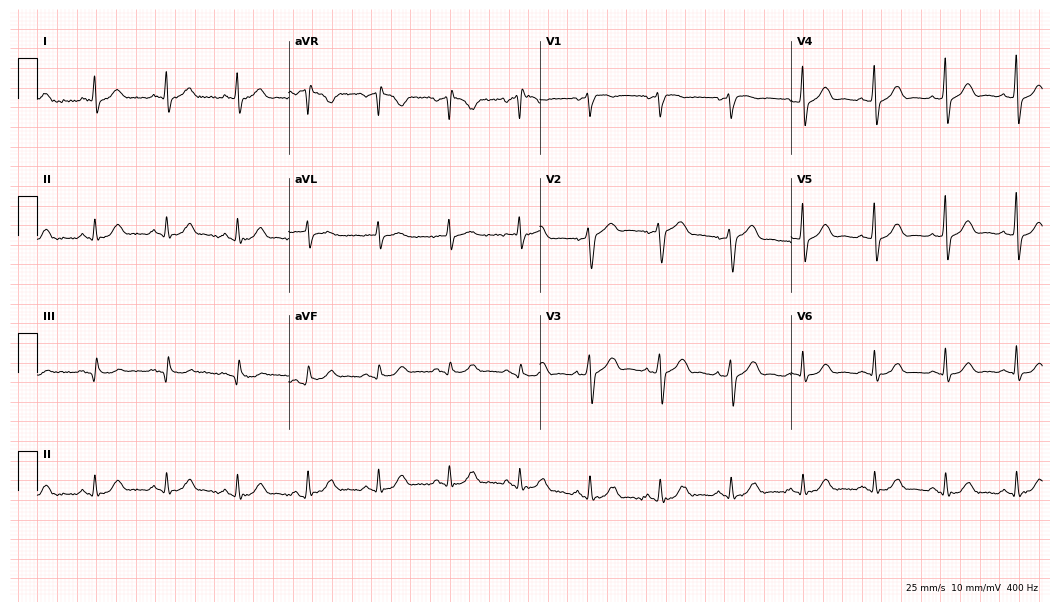
12-lead ECG from a man, 60 years old. No first-degree AV block, right bundle branch block, left bundle branch block, sinus bradycardia, atrial fibrillation or sinus tachycardia recorded for this tracing. Other findings, if any, are not listed.